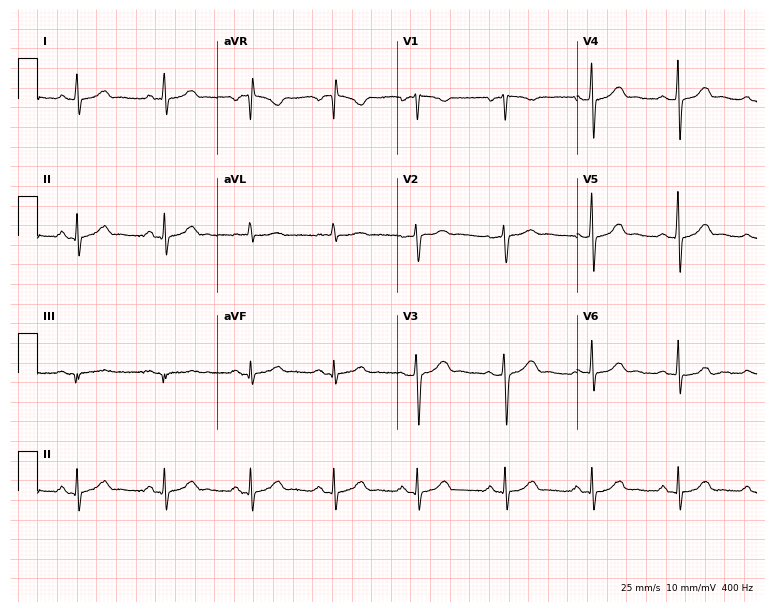
12-lead ECG (7.3-second recording at 400 Hz) from a 49-year-old female. Labelled as a normal ECG.